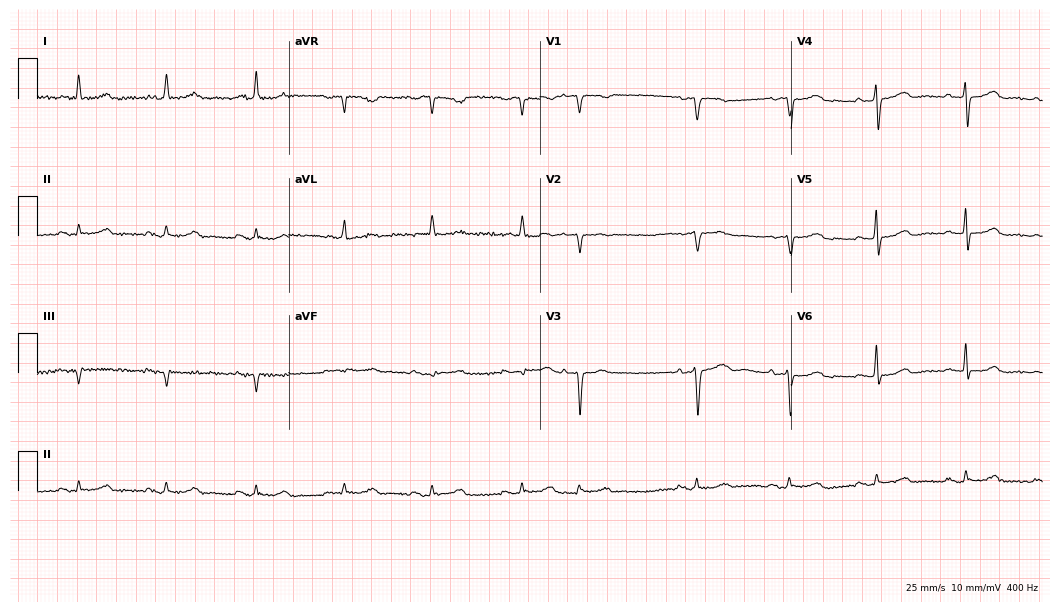
12-lead ECG from a female patient, 84 years old. Labelled as a normal ECG.